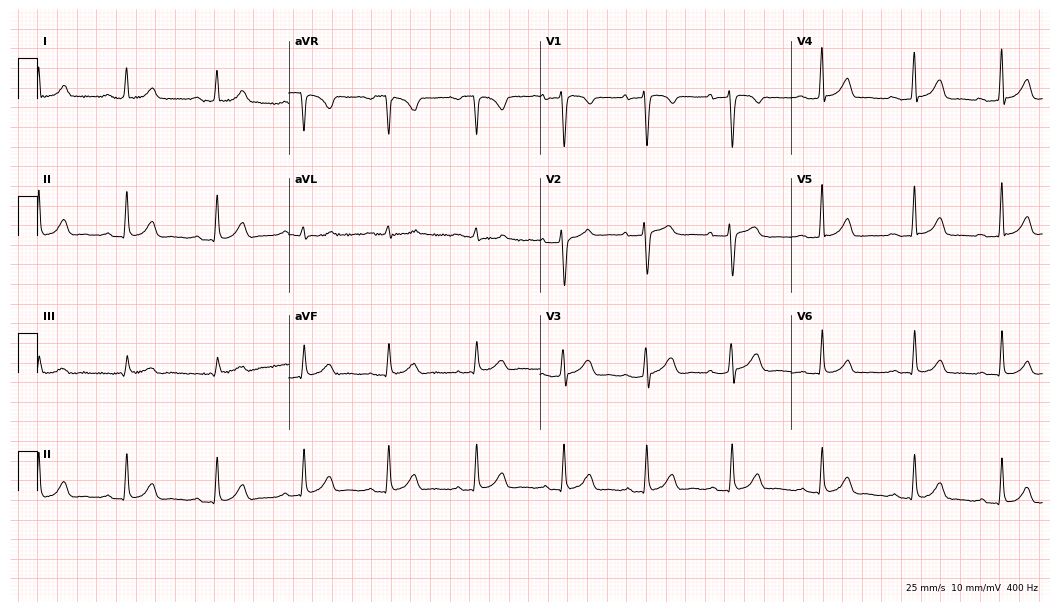
12-lead ECG from a female patient, 32 years old. Findings include first-degree AV block.